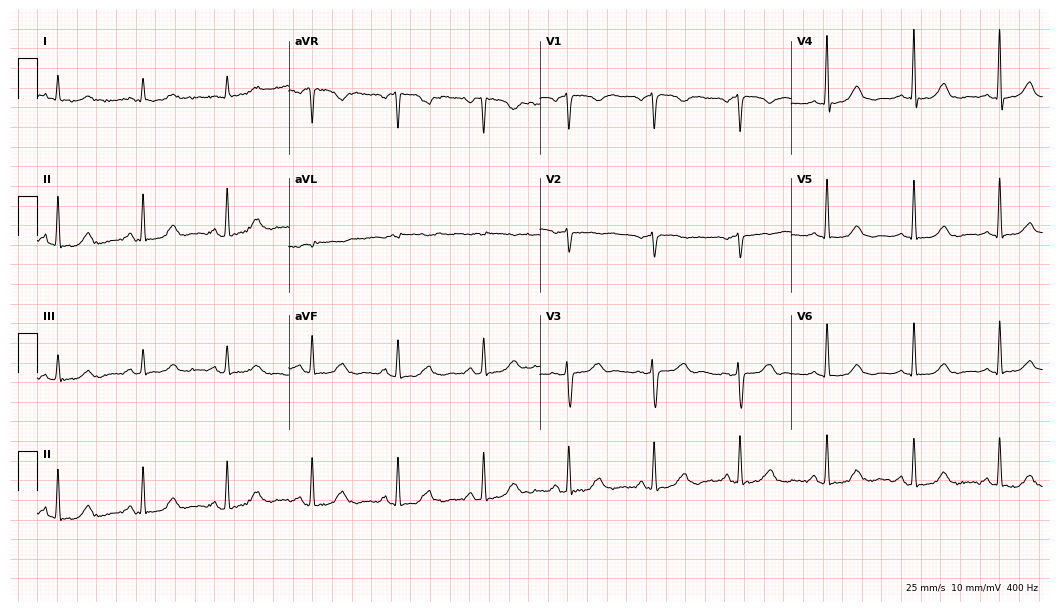
Resting 12-lead electrocardiogram (10.2-second recording at 400 Hz). Patient: a female, 84 years old. Read as a normal ECG.